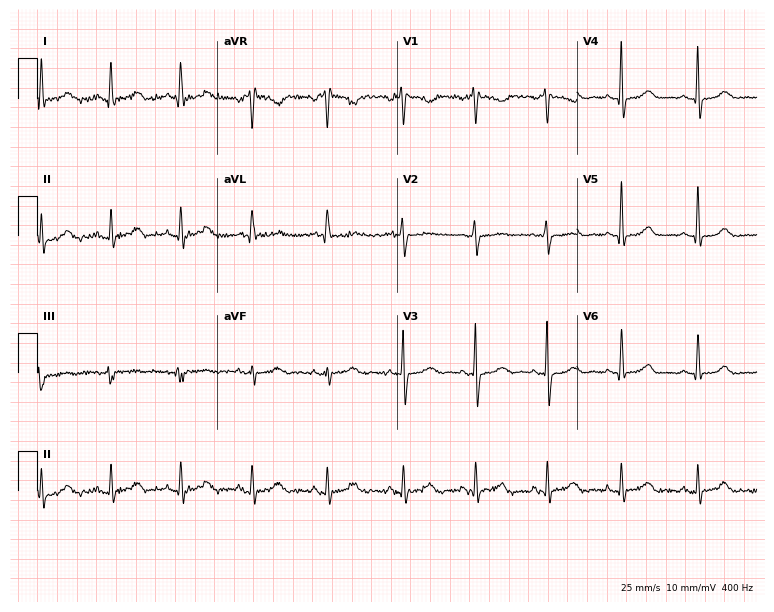
12-lead ECG from a 41-year-old woman (7.3-second recording at 400 Hz). Recorded interpretation: within normal limits.